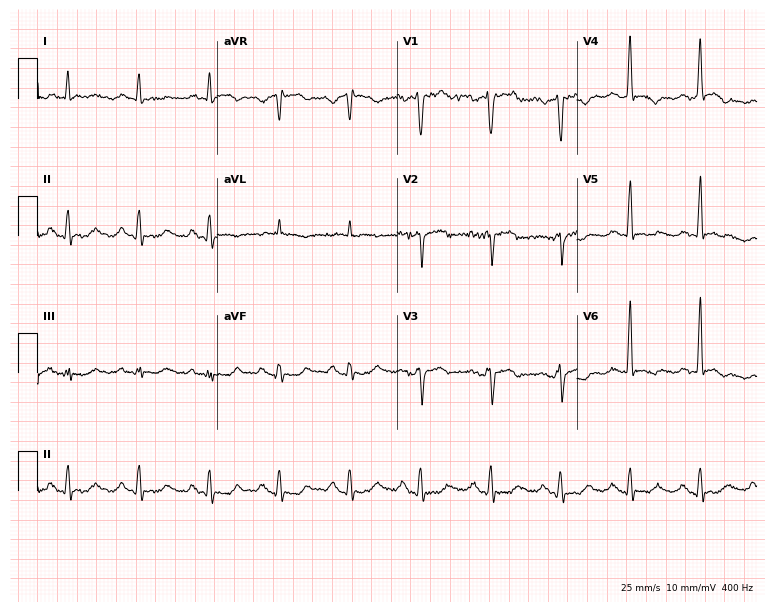
12-lead ECG from a male patient, 72 years old (7.3-second recording at 400 Hz). No first-degree AV block, right bundle branch block, left bundle branch block, sinus bradycardia, atrial fibrillation or sinus tachycardia recorded for this tracing. Only these six findings were labelled.